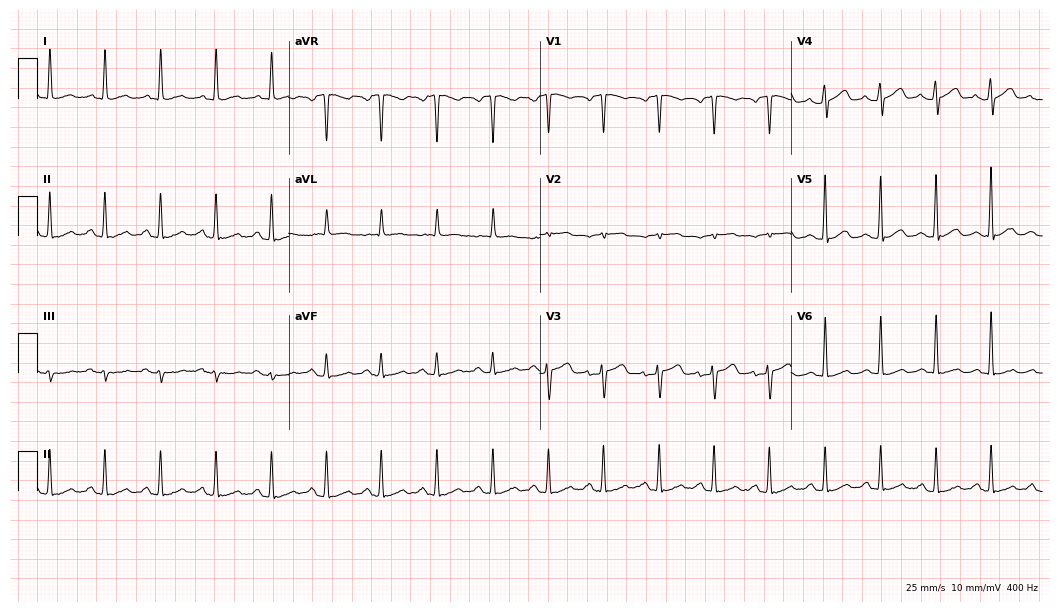
12-lead ECG from a woman, 69 years old (10.2-second recording at 400 Hz). Shows sinus tachycardia (a sinus rate of 100 beats per minute or more).